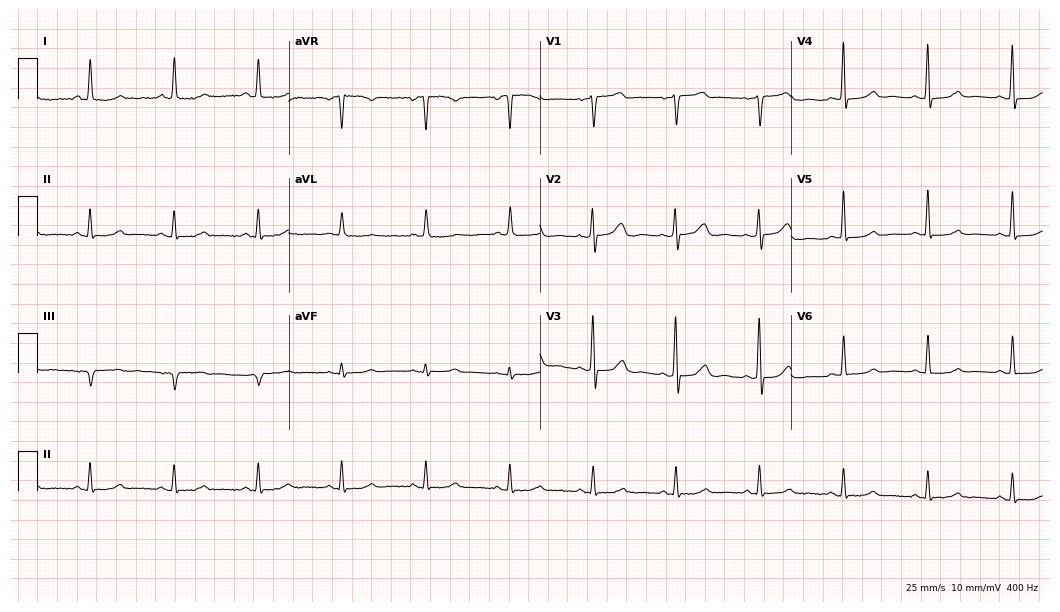
ECG (10.2-second recording at 400 Hz) — a woman, 66 years old. Labelled as a normal ECG.